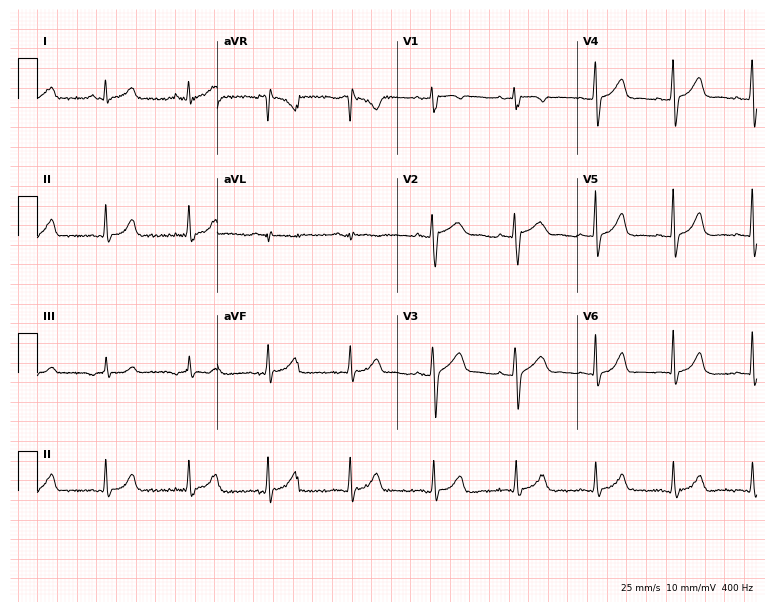
12-lead ECG from a 33-year-old female. Recorded interpretation: within normal limits.